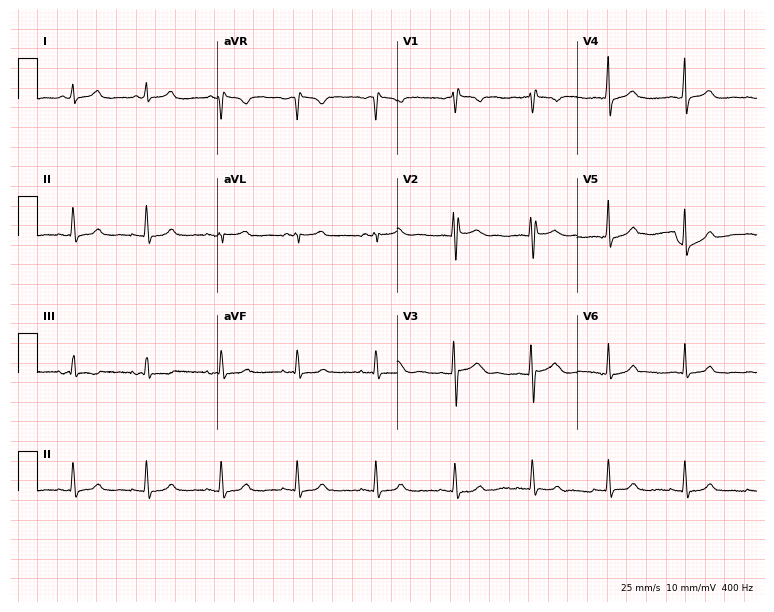
Electrocardiogram (7.3-second recording at 400 Hz), a 38-year-old male. Of the six screened findings (first-degree AV block, right bundle branch block, left bundle branch block, sinus bradycardia, atrial fibrillation, sinus tachycardia), none is recorded. Only these six findings were labelled.